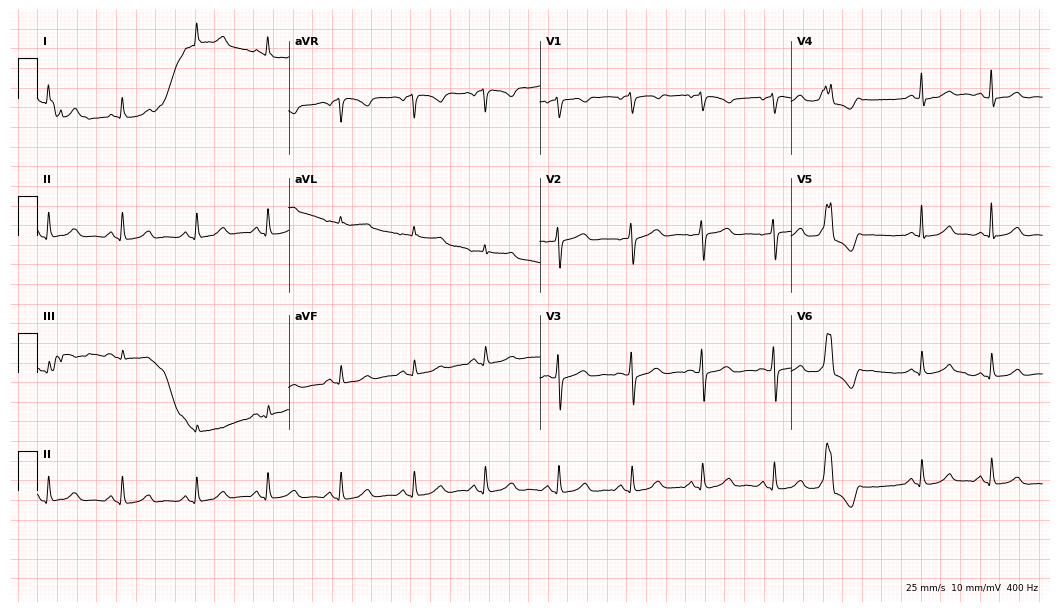
12-lead ECG from a female patient, 73 years old (10.2-second recording at 400 Hz). No first-degree AV block, right bundle branch block (RBBB), left bundle branch block (LBBB), sinus bradycardia, atrial fibrillation (AF) or sinus tachycardia recorded for this tracing.